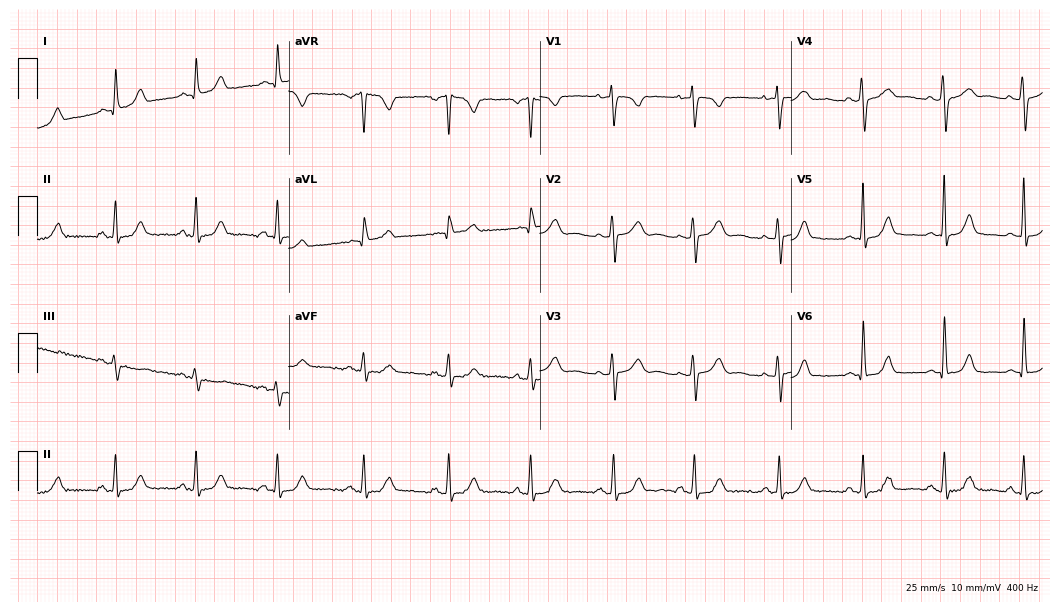
12-lead ECG from a female, 29 years old (10.2-second recording at 400 Hz). Recorded interpretation: within normal limits.